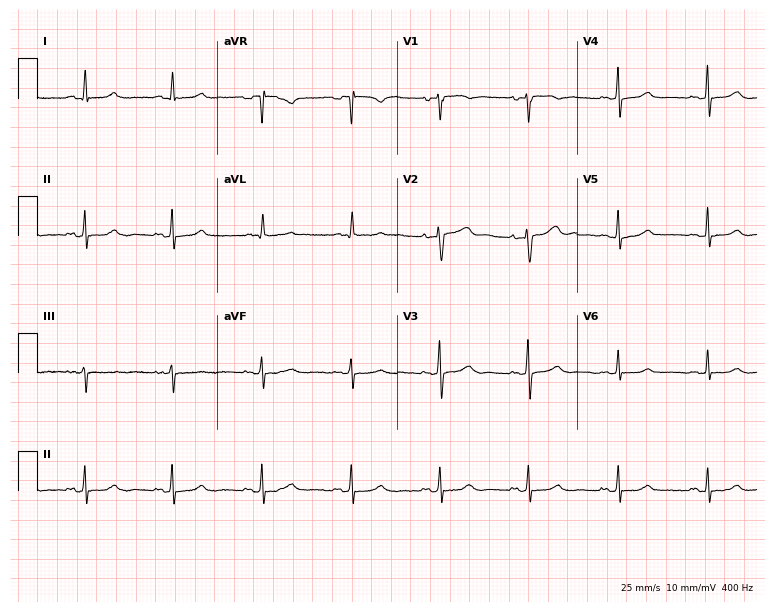
Standard 12-lead ECG recorded from a female, 62 years old. Read as a normal ECG.